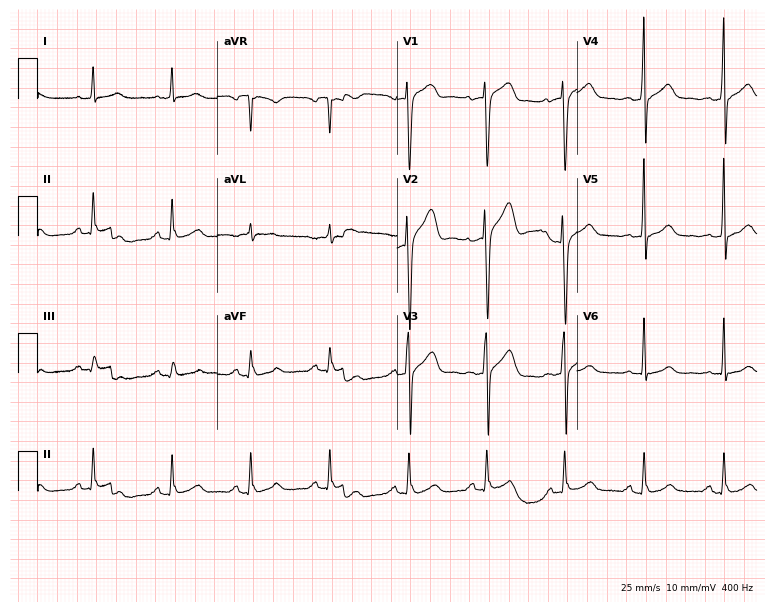
Standard 12-lead ECG recorded from a male patient, 38 years old. None of these six findings is recorded: first-degree AV block, right bundle branch block, left bundle branch block, sinus bradycardia, atrial fibrillation, sinus tachycardia. Other findings, if any, are not listed.